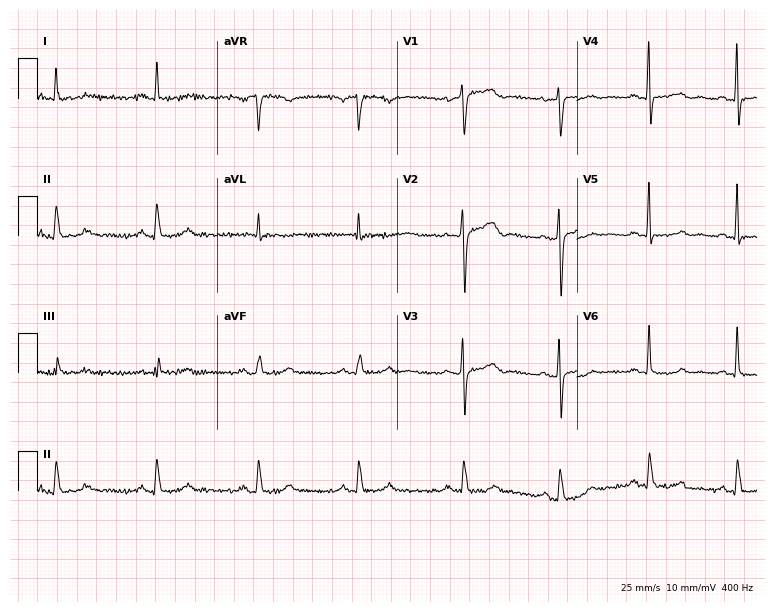
Standard 12-lead ECG recorded from a 56-year-old woman (7.3-second recording at 400 Hz). Read as a normal ECG.